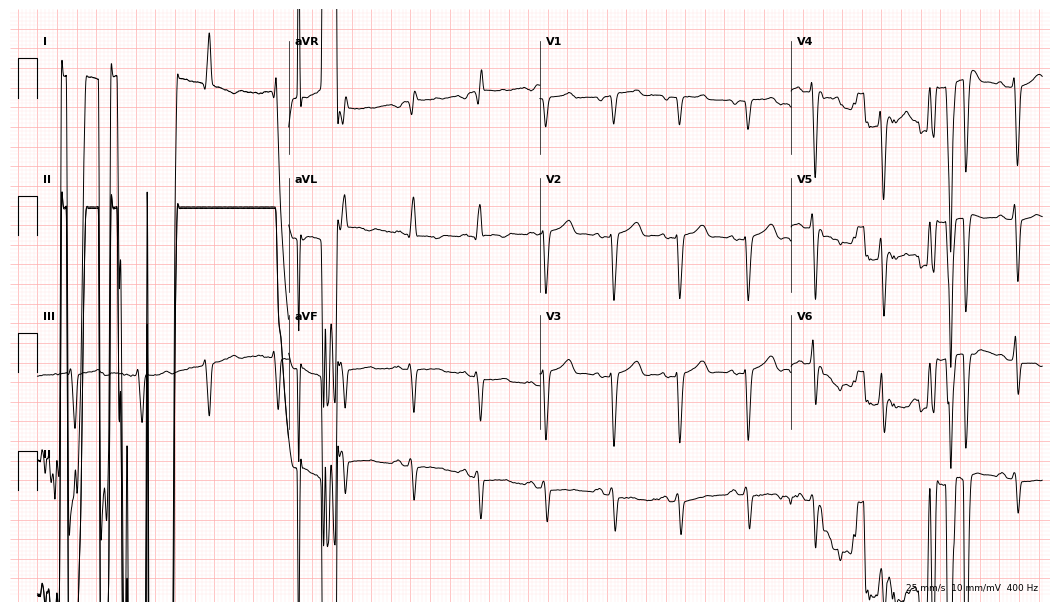
Electrocardiogram, a female patient, 46 years old. Of the six screened findings (first-degree AV block, right bundle branch block, left bundle branch block, sinus bradycardia, atrial fibrillation, sinus tachycardia), none is recorded.